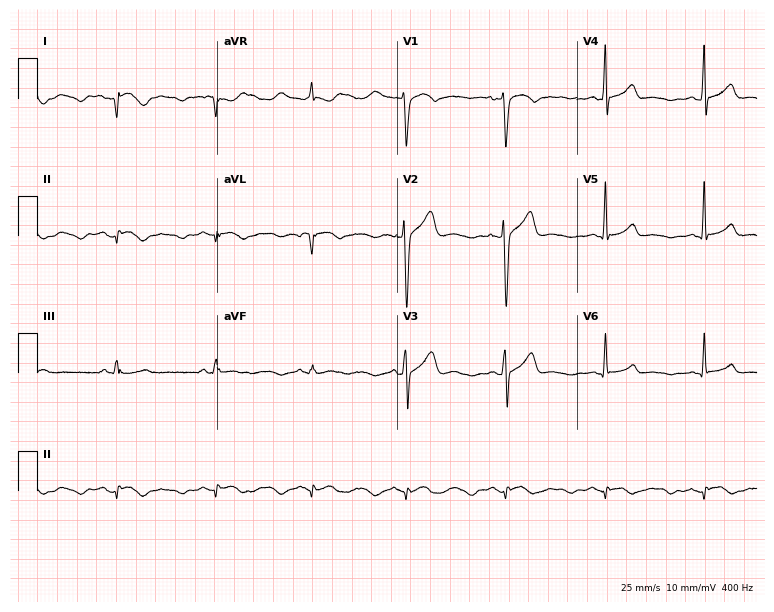
12-lead ECG from a 48-year-old man. No first-degree AV block, right bundle branch block, left bundle branch block, sinus bradycardia, atrial fibrillation or sinus tachycardia recorded for this tracing. Only these six findings were labelled.